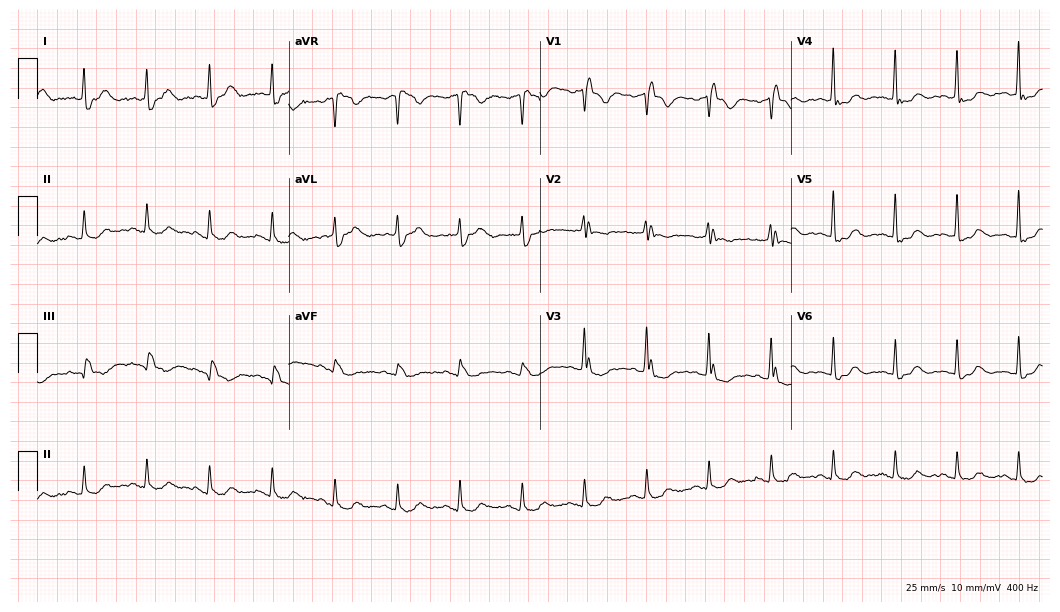
Electrocardiogram (10.2-second recording at 400 Hz), a 74-year-old male patient. Interpretation includes right bundle branch block.